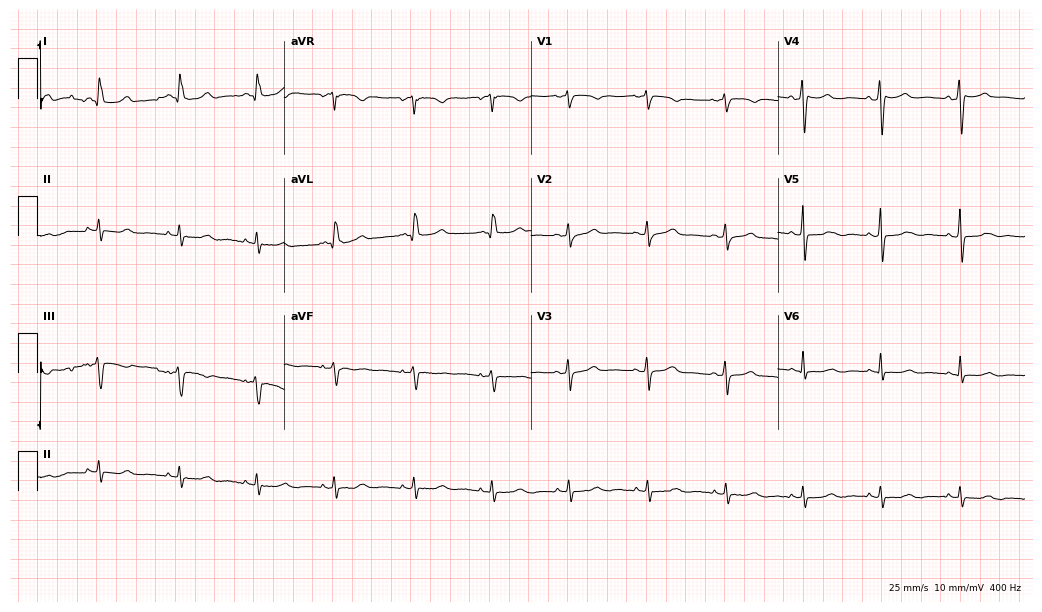
12-lead ECG from a 61-year-old female patient. No first-degree AV block, right bundle branch block (RBBB), left bundle branch block (LBBB), sinus bradycardia, atrial fibrillation (AF) or sinus tachycardia recorded for this tracing.